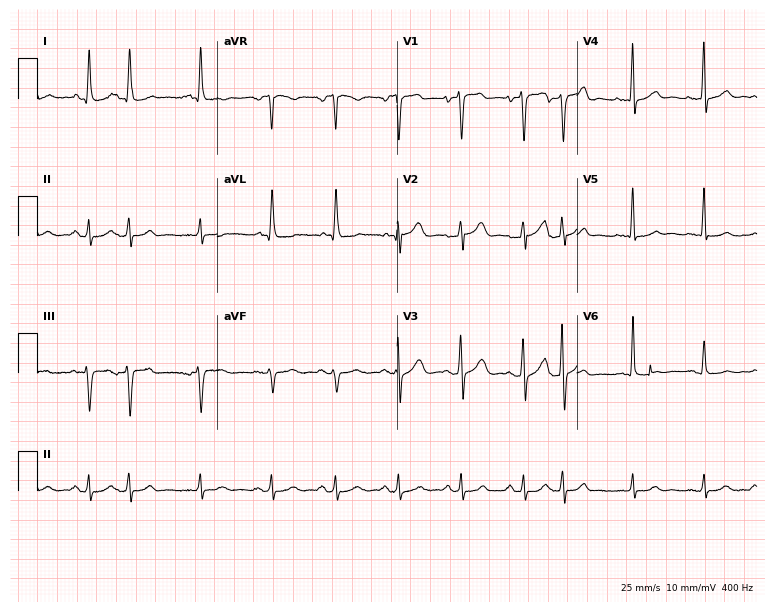
Resting 12-lead electrocardiogram (7.3-second recording at 400 Hz). Patient: a male, 60 years old. None of these six findings is recorded: first-degree AV block, right bundle branch block, left bundle branch block, sinus bradycardia, atrial fibrillation, sinus tachycardia. Findings outside these six are not listed.